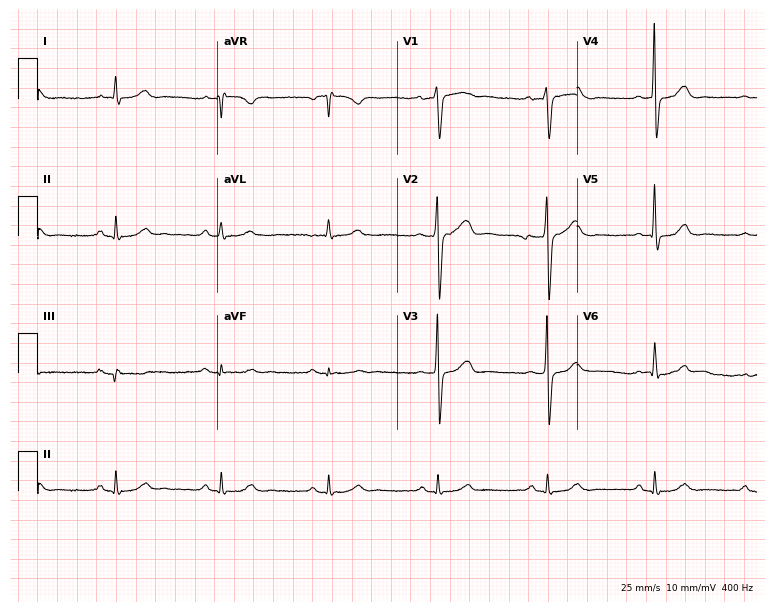
12-lead ECG (7.3-second recording at 400 Hz) from a 63-year-old male. Screened for six findings — first-degree AV block, right bundle branch block (RBBB), left bundle branch block (LBBB), sinus bradycardia, atrial fibrillation (AF), sinus tachycardia — none is recorded. Findings outside these six are not listed.